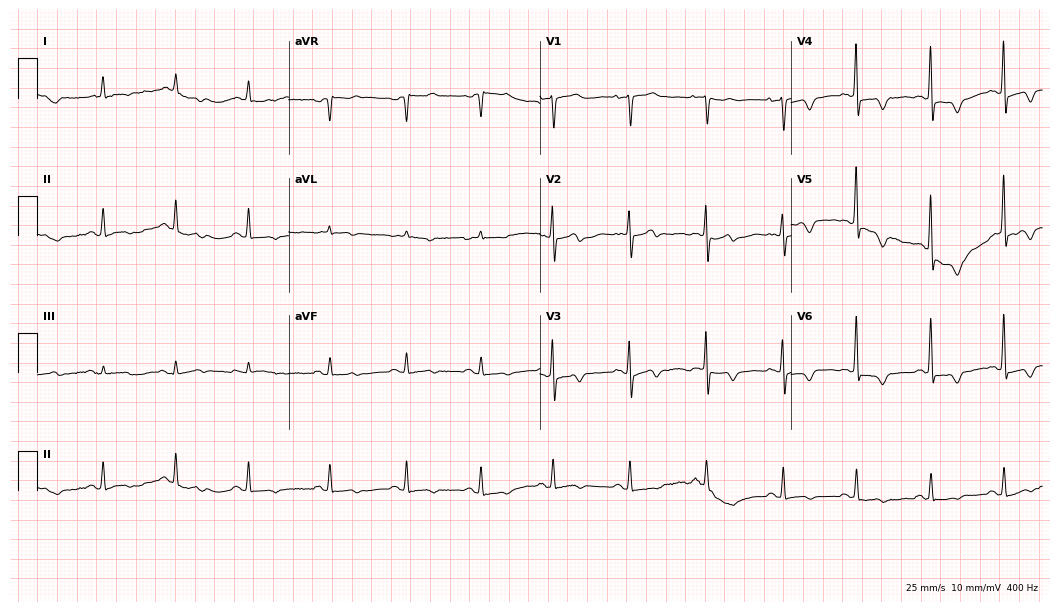
12-lead ECG from a woman, 82 years old (10.2-second recording at 400 Hz). No first-degree AV block, right bundle branch block (RBBB), left bundle branch block (LBBB), sinus bradycardia, atrial fibrillation (AF) or sinus tachycardia recorded for this tracing.